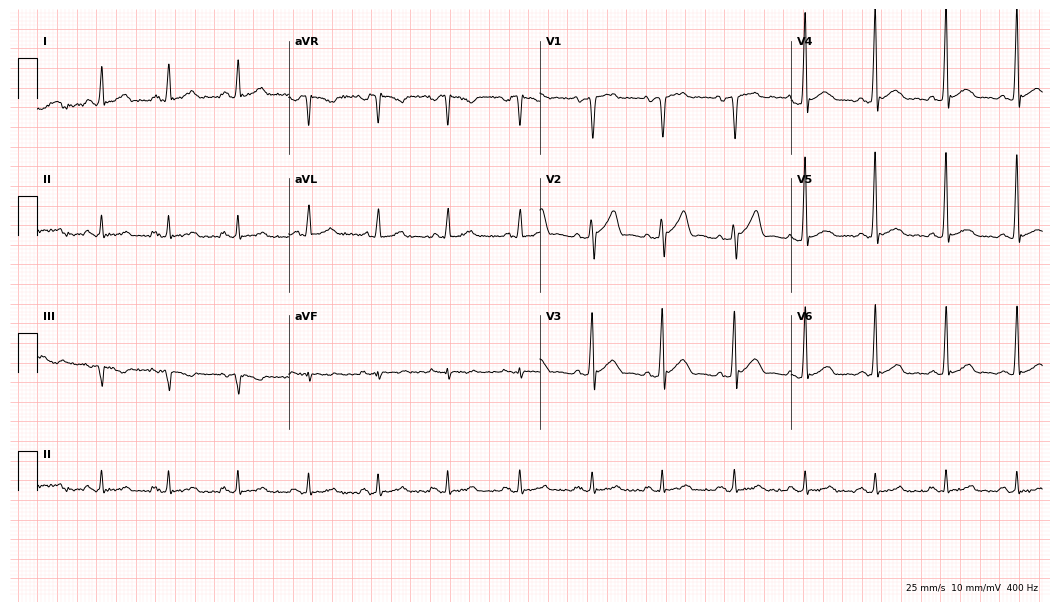
Resting 12-lead electrocardiogram. Patient: a male, 42 years old. Read as a normal ECG.